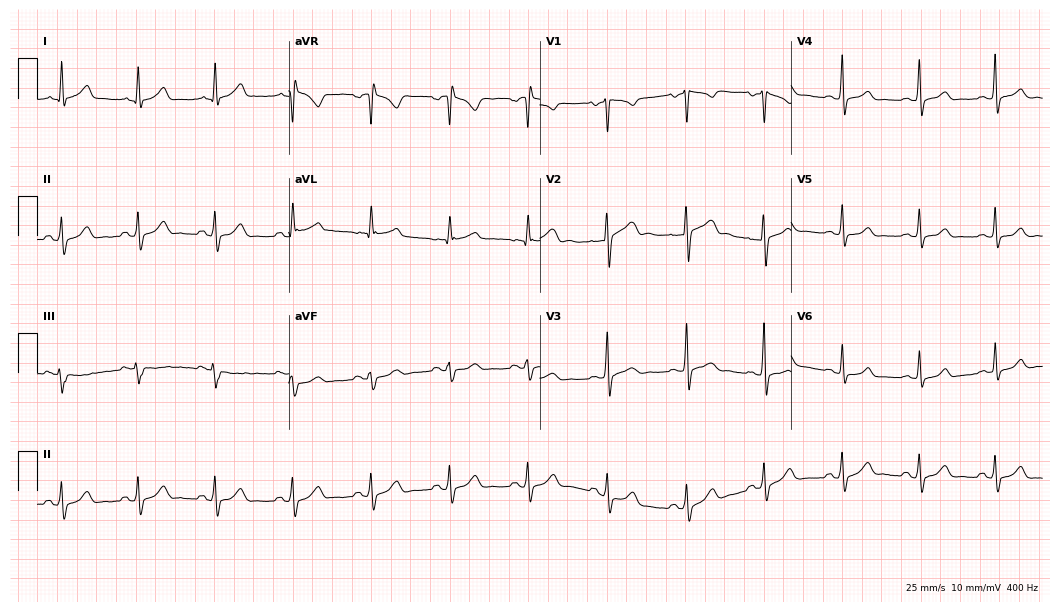
ECG (10.2-second recording at 400 Hz) — a male patient, 31 years old. Labelled as a normal ECG.